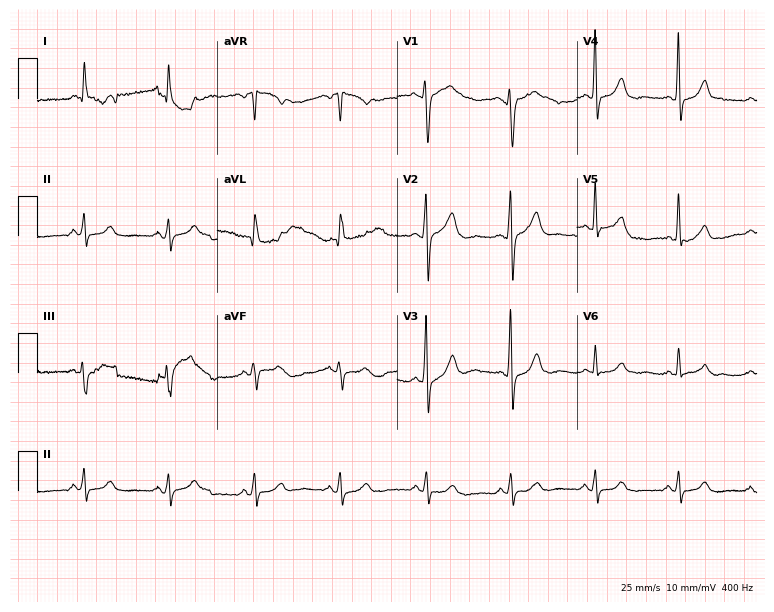
Resting 12-lead electrocardiogram (7.3-second recording at 400 Hz). Patient: a man, 54 years old. Read as a normal ECG.